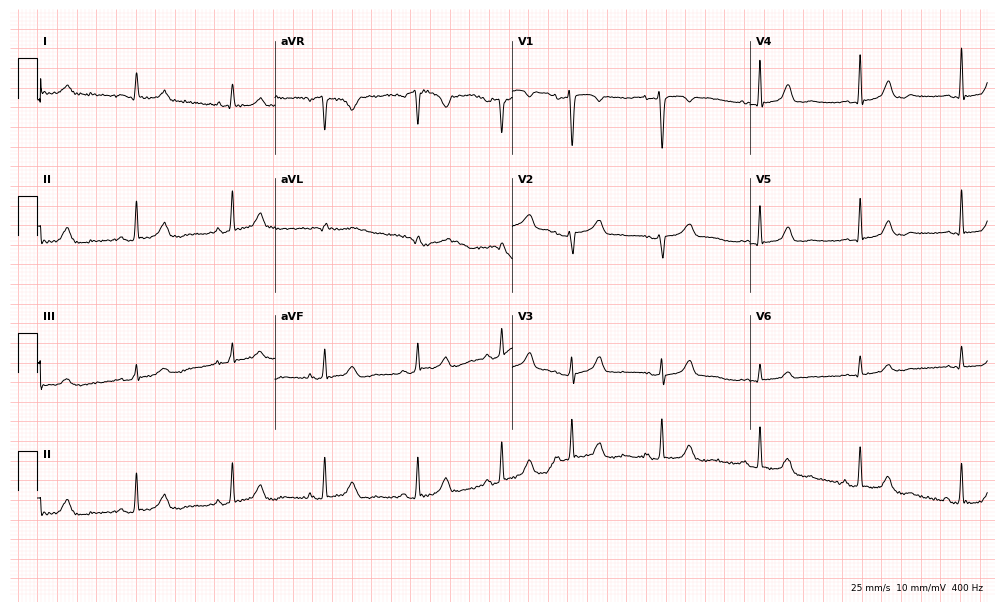
ECG — a female, 52 years old. Labelled as a normal ECG.